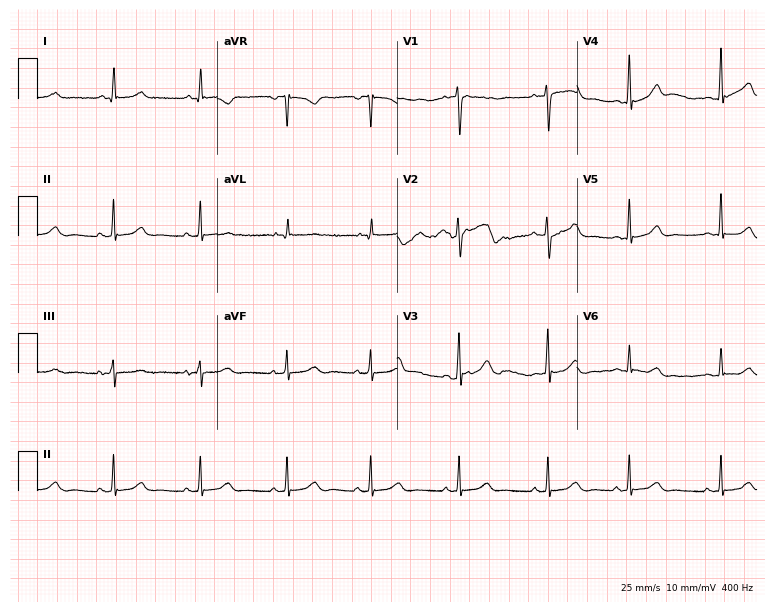
12-lead ECG from a female, 19 years old. Labelled as a normal ECG.